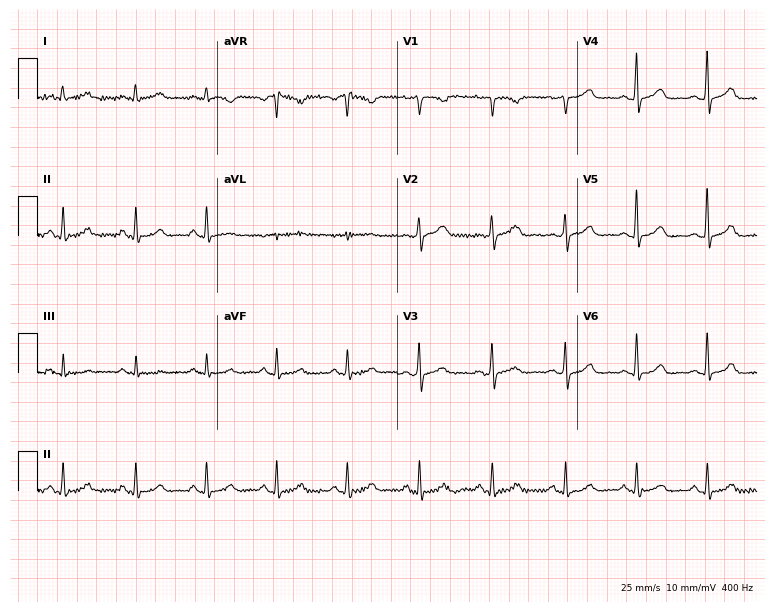
ECG — a 43-year-old woman. Labelled as a normal ECG.